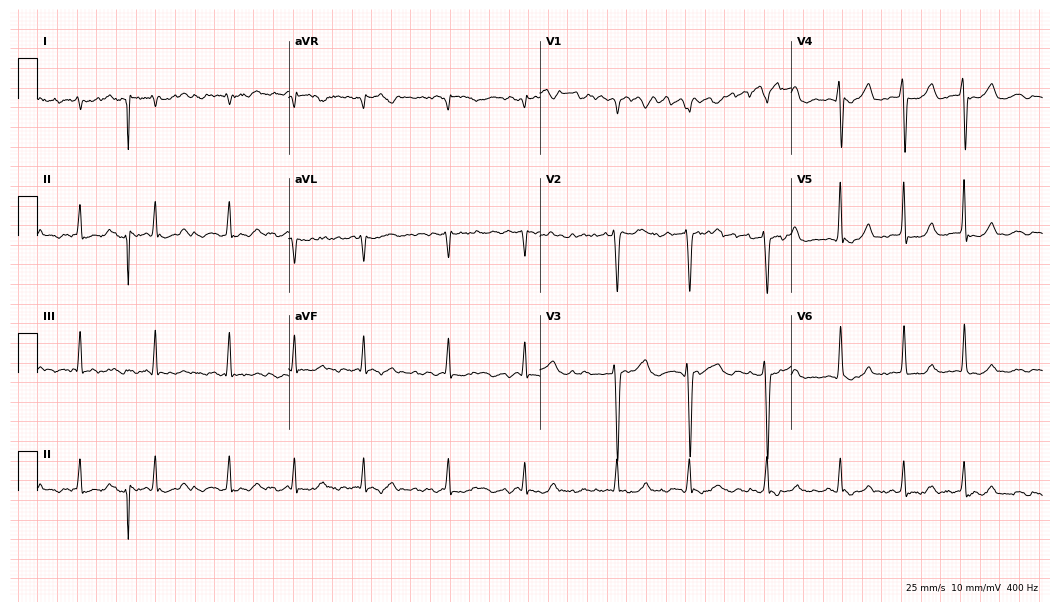
Electrocardiogram, a woman, 49 years old. Interpretation includes atrial fibrillation.